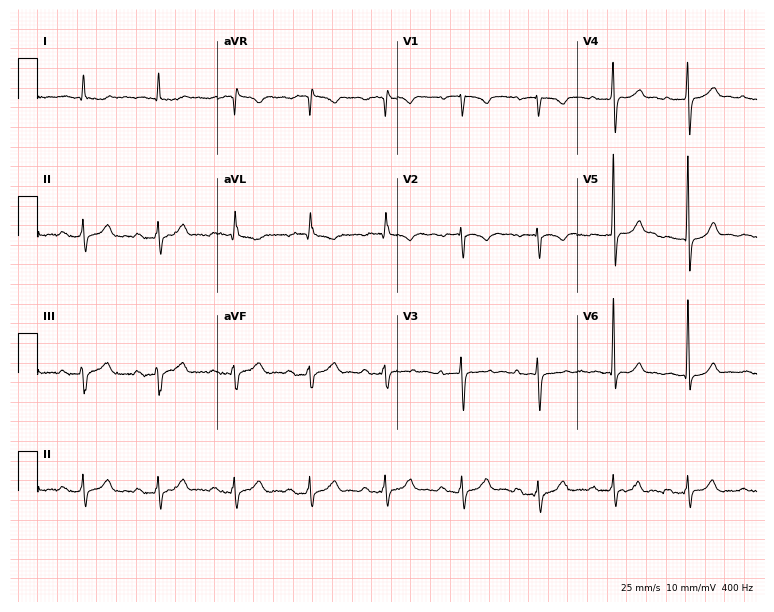
12-lead ECG (7.3-second recording at 400 Hz) from a male, 78 years old. Screened for six findings — first-degree AV block, right bundle branch block (RBBB), left bundle branch block (LBBB), sinus bradycardia, atrial fibrillation (AF), sinus tachycardia — none is recorded.